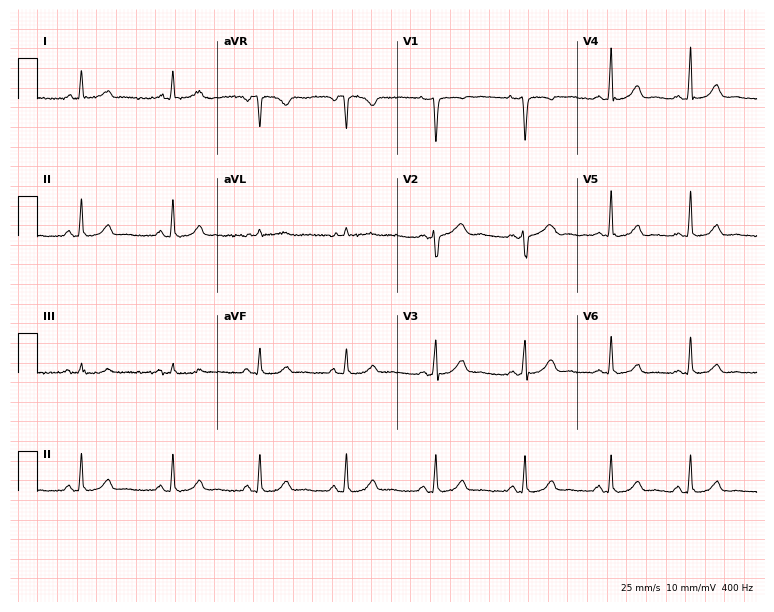
Resting 12-lead electrocardiogram (7.3-second recording at 400 Hz). Patient: a 29-year-old female. None of these six findings is recorded: first-degree AV block, right bundle branch block, left bundle branch block, sinus bradycardia, atrial fibrillation, sinus tachycardia. Findings outside these six are not listed.